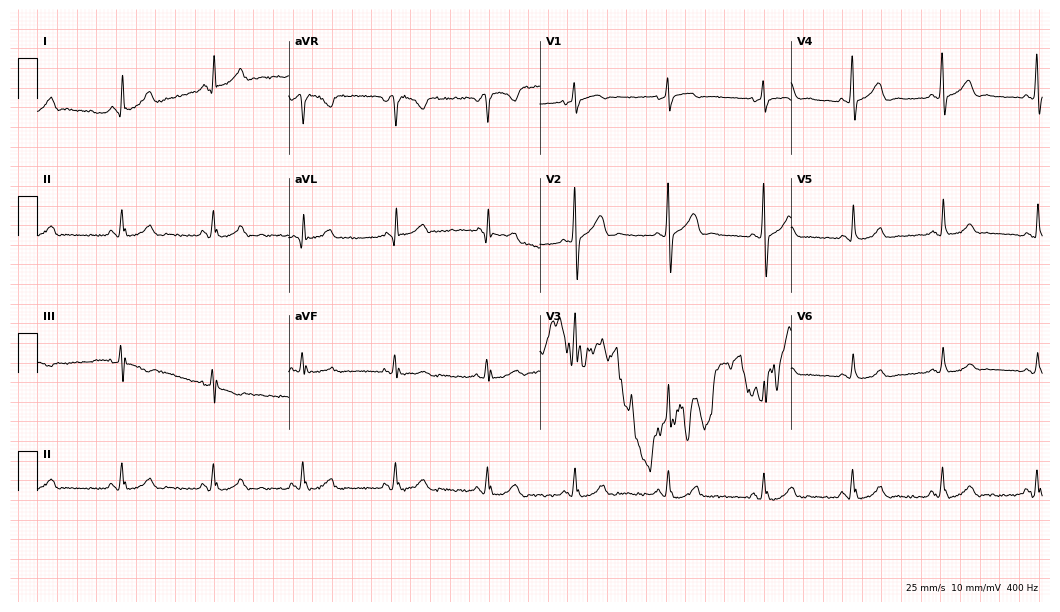
12-lead ECG (10.2-second recording at 400 Hz) from a female, 32 years old. Screened for six findings — first-degree AV block, right bundle branch block, left bundle branch block, sinus bradycardia, atrial fibrillation, sinus tachycardia — none is recorded.